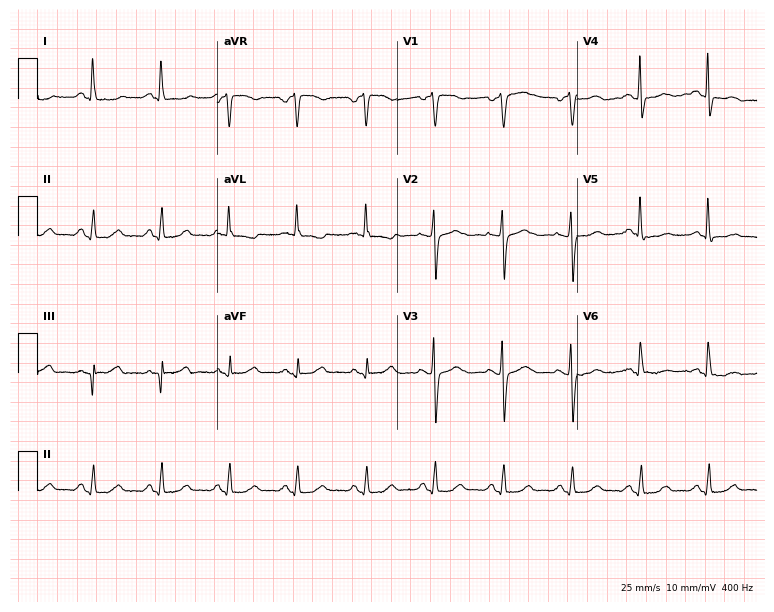
Standard 12-lead ECG recorded from a woman, 65 years old (7.3-second recording at 400 Hz). None of these six findings is recorded: first-degree AV block, right bundle branch block, left bundle branch block, sinus bradycardia, atrial fibrillation, sinus tachycardia. Findings outside these six are not listed.